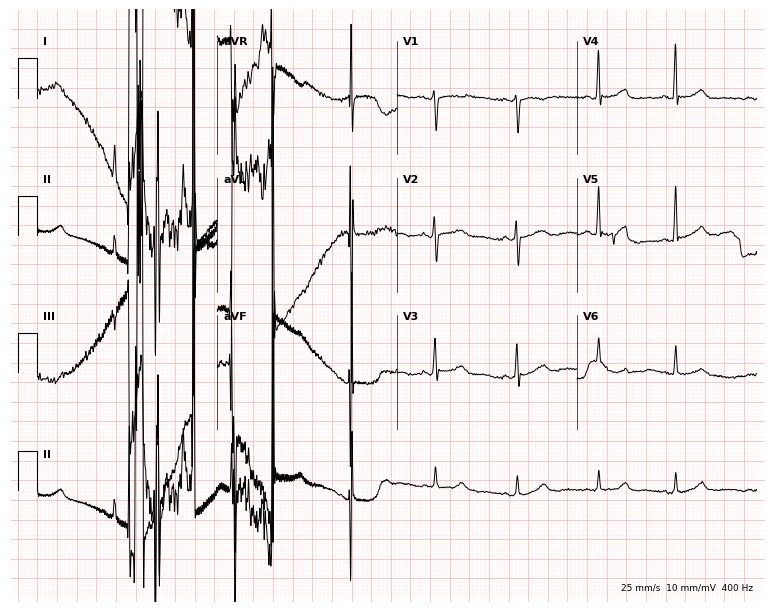
Standard 12-lead ECG recorded from a 57-year-old female (7.3-second recording at 400 Hz). Read as a normal ECG.